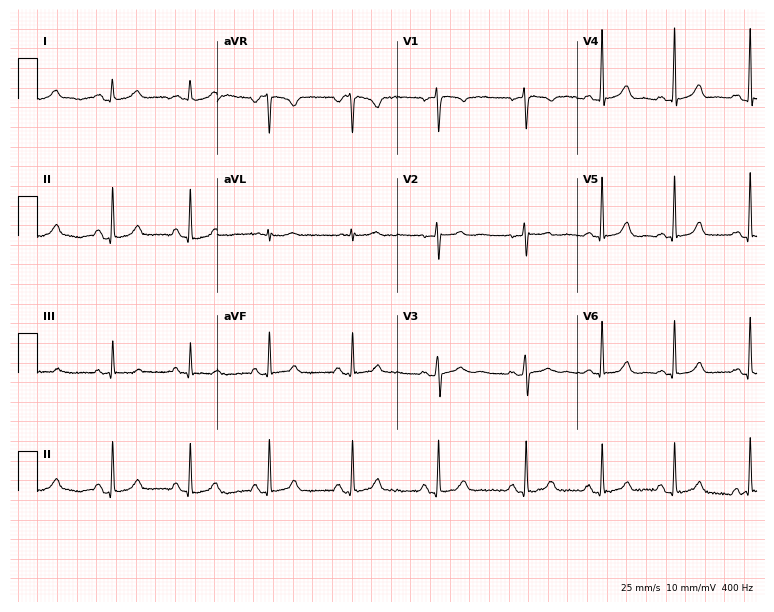
Resting 12-lead electrocardiogram (7.3-second recording at 400 Hz). Patient: a woman, 21 years old. Read as a normal ECG.